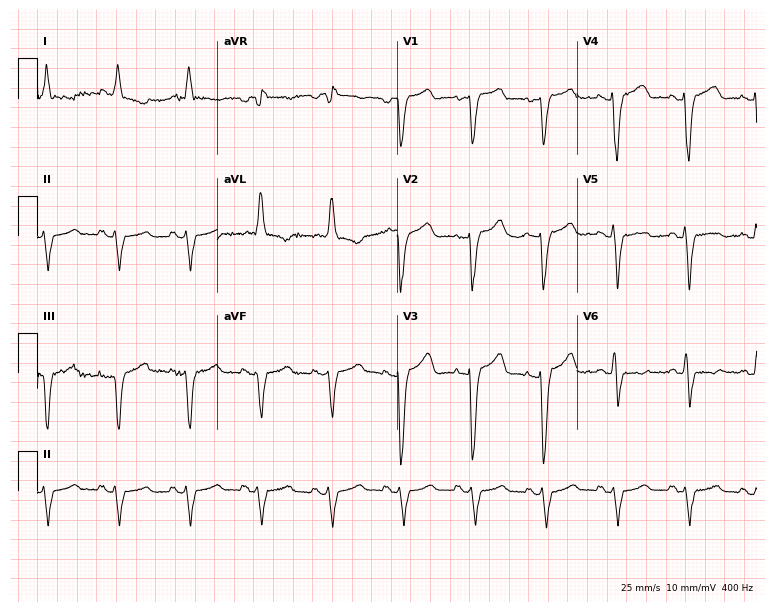
ECG (7.3-second recording at 400 Hz) — a 78-year-old female patient. Screened for six findings — first-degree AV block, right bundle branch block (RBBB), left bundle branch block (LBBB), sinus bradycardia, atrial fibrillation (AF), sinus tachycardia — none is recorded.